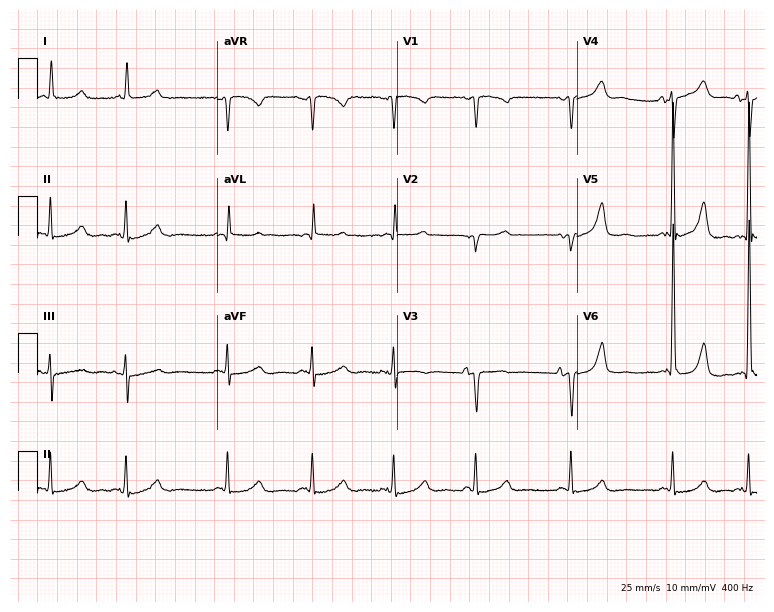
ECG (7.3-second recording at 400 Hz) — an 80-year-old woman. Screened for six findings — first-degree AV block, right bundle branch block, left bundle branch block, sinus bradycardia, atrial fibrillation, sinus tachycardia — none is recorded.